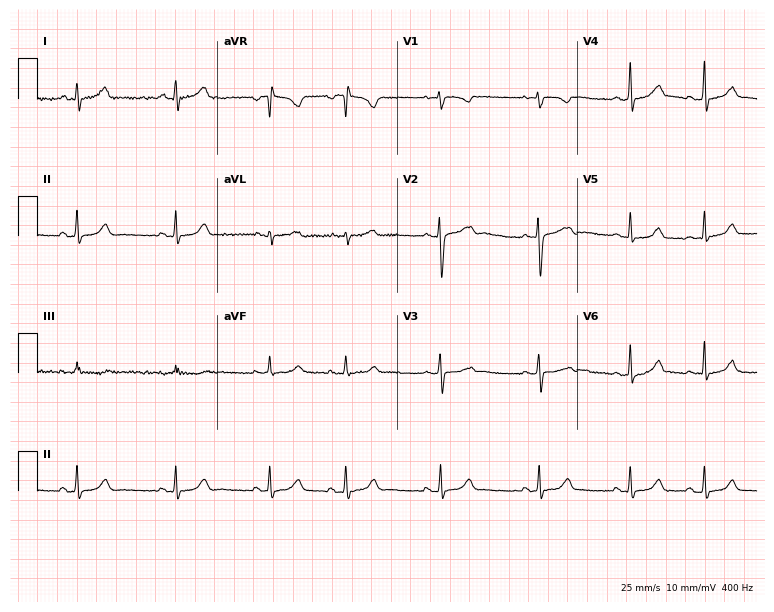
Resting 12-lead electrocardiogram. Patient: a woman, 18 years old. Read as a normal ECG.